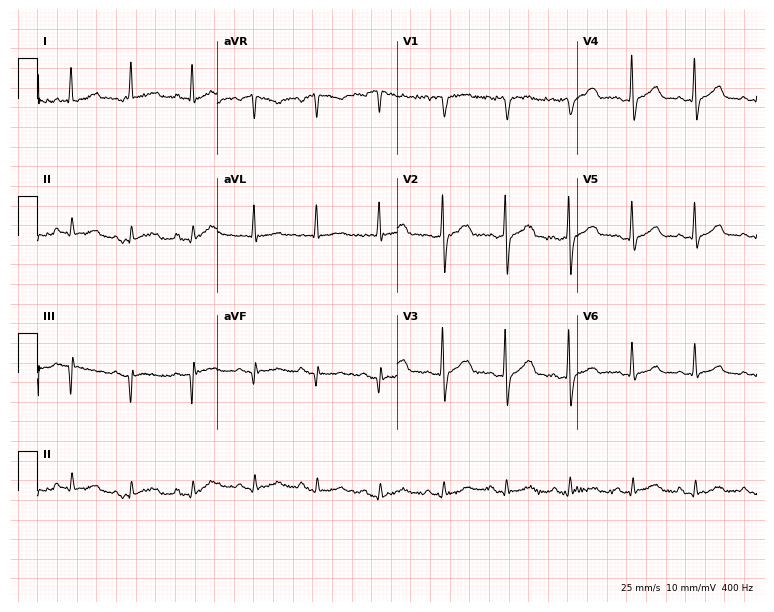
12-lead ECG (7.3-second recording at 400 Hz) from a 62-year-old male patient. Screened for six findings — first-degree AV block, right bundle branch block, left bundle branch block, sinus bradycardia, atrial fibrillation, sinus tachycardia — none is recorded.